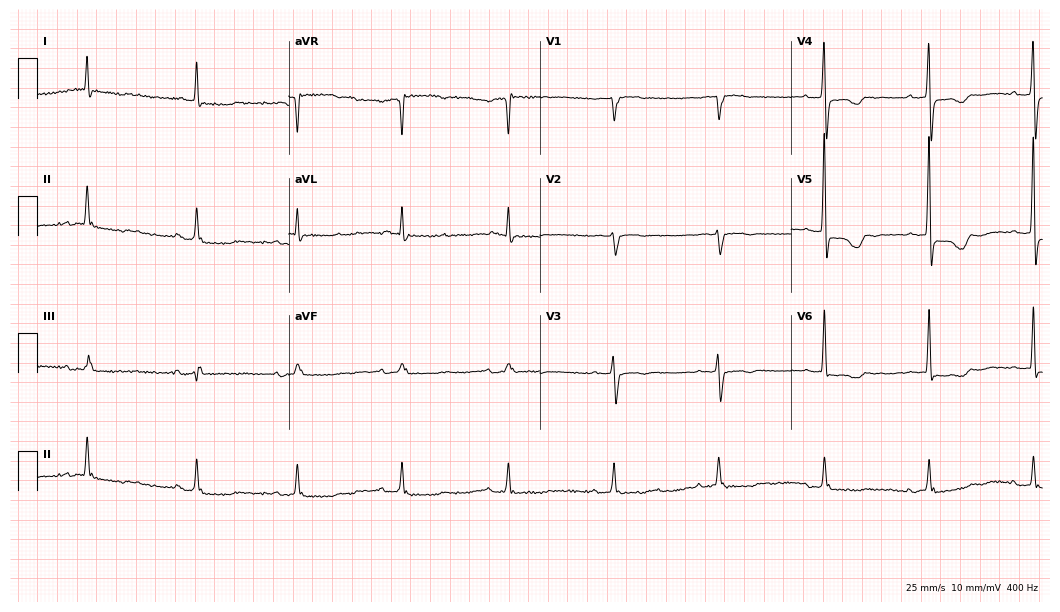
Standard 12-lead ECG recorded from an 82-year-old female (10.2-second recording at 400 Hz). None of these six findings is recorded: first-degree AV block, right bundle branch block (RBBB), left bundle branch block (LBBB), sinus bradycardia, atrial fibrillation (AF), sinus tachycardia. Only these six findings were labelled.